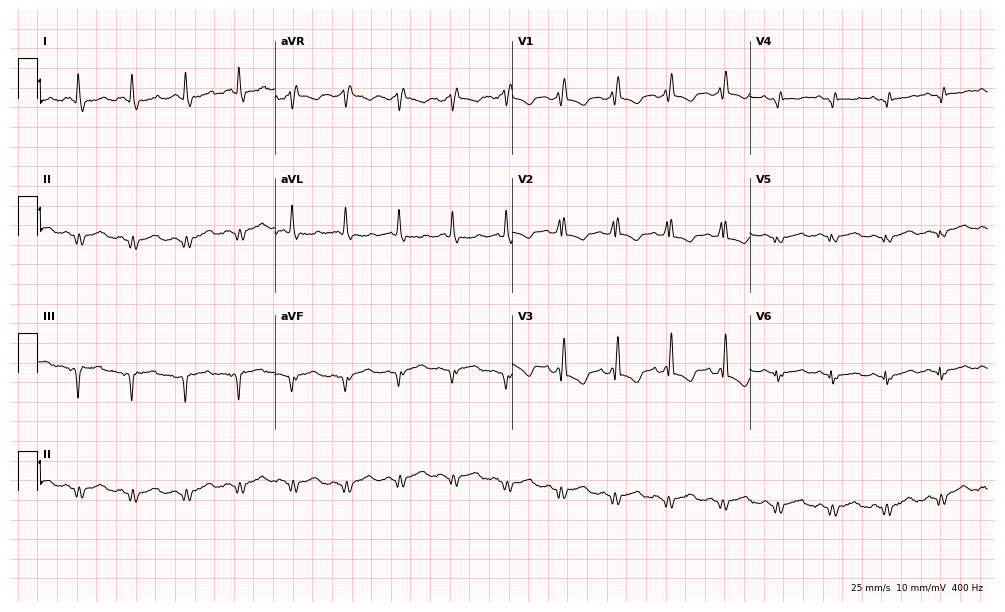
Standard 12-lead ECG recorded from an 83-year-old female patient (9.7-second recording at 400 Hz). None of these six findings is recorded: first-degree AV block, right bundle branch block, left bundle branch block, sinus bradycardia, atrial fibrillation, sinus tachycardia. Other findings, if any, are not listed.